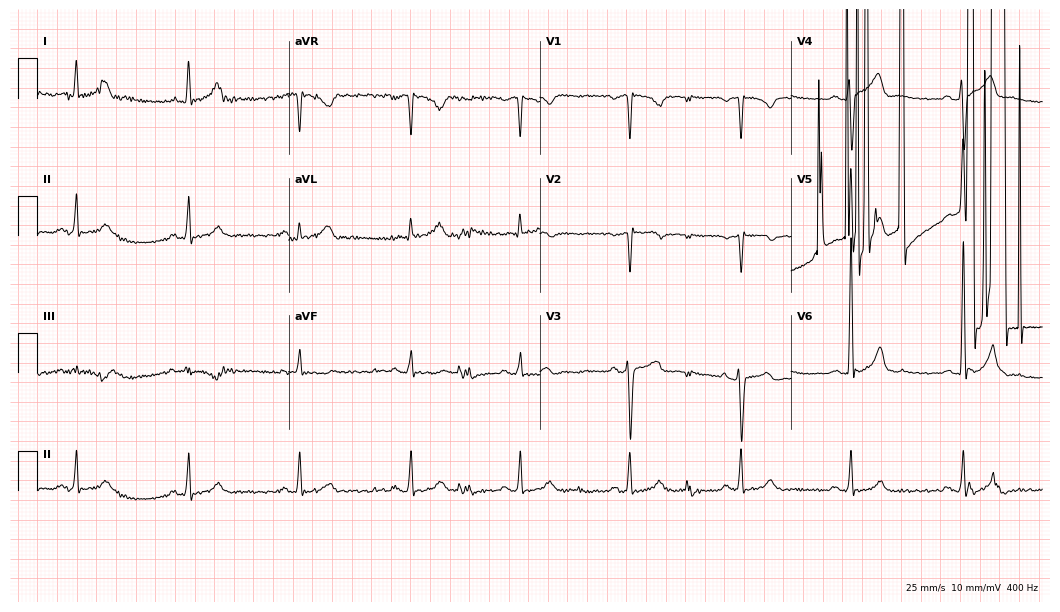
Resting 12-lead electrocardiogram (10.2-second recording at 400 Hz). Patient: a 45-year-old male. None of these six findings is recorded: first-degree AV block, right bundle branch block, left bundle branch block, sinus bradycardia, atrial fibrillation, sinus tachycardia.